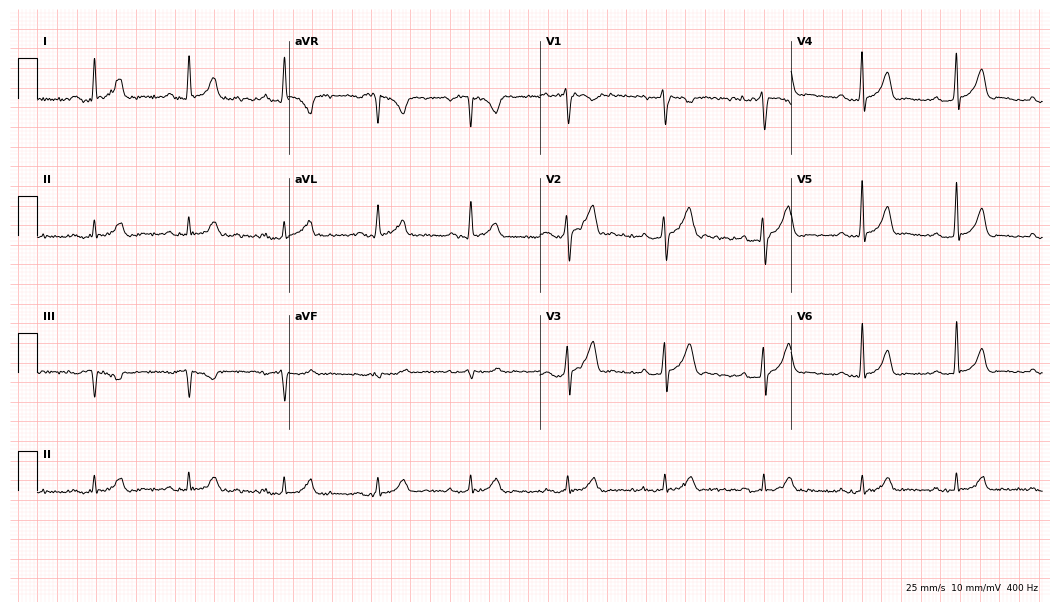
Electrocardiogram, a 40-year-old male. Interpretation includes first-degree AV block.